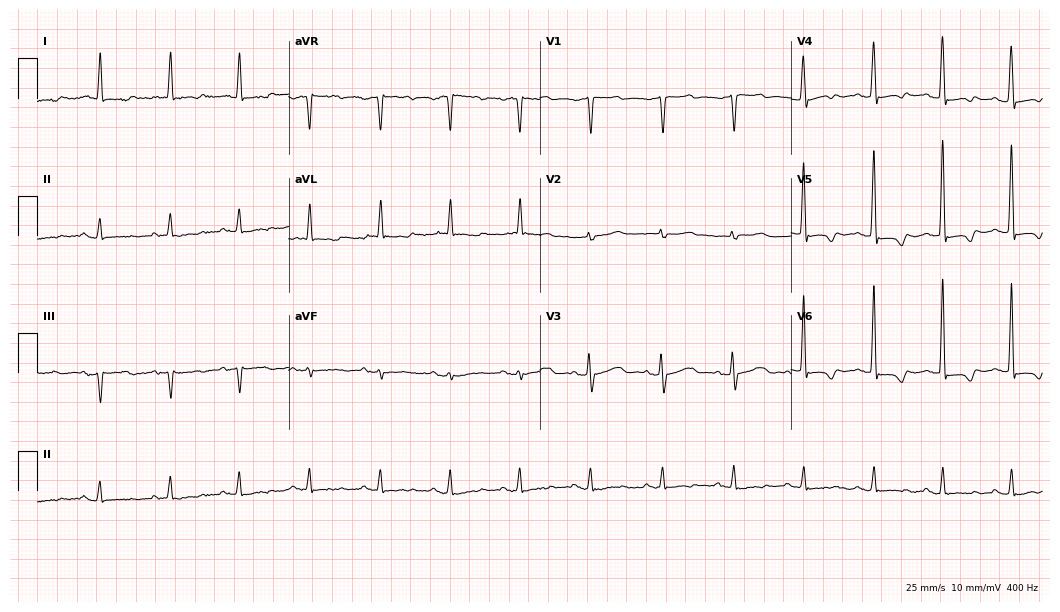
Electrocardiogram (10.2-second recording at 400 Hz), a female, 80 years old. Of the six screened findings (first-degree AV block, right bundle branch block, left bundle branch block, sinus bradycardia, atrial fibrillation, sinus tachycardia), none is recorded. Other findings, if any, are not listed.